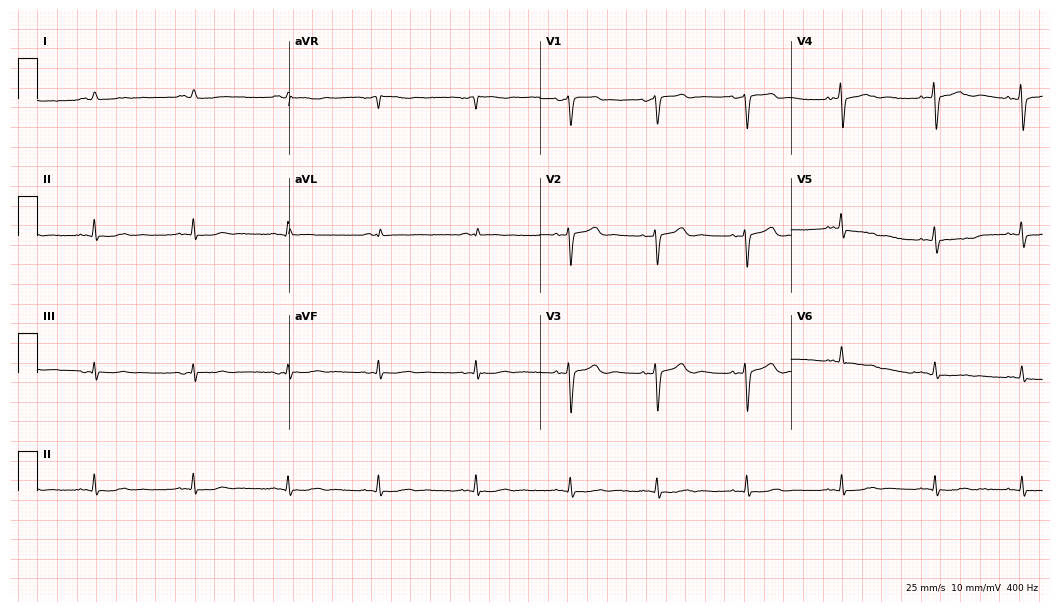
Electrocardiogram (10.2-second recording at 400 Hz), a man, 60 years old. Of the six screened findings (first-degree AV block, right bundle branch block (RBBB), left bundle branch block (LBBB), sinus bradycardia, atrial fibrillation (AF), sinus tachycardia), none is recorded.